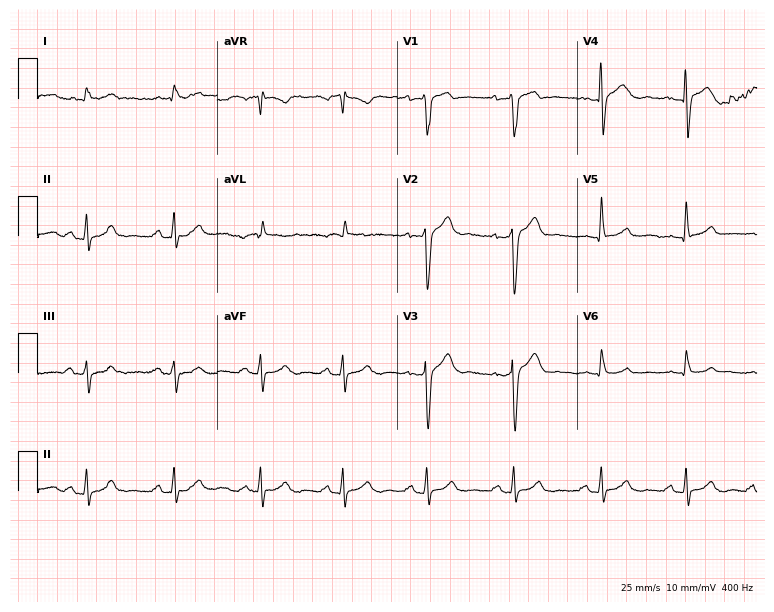
Standard 12-lead ECG recorded from a male patient, 59 years old. Read as a normal ECG.